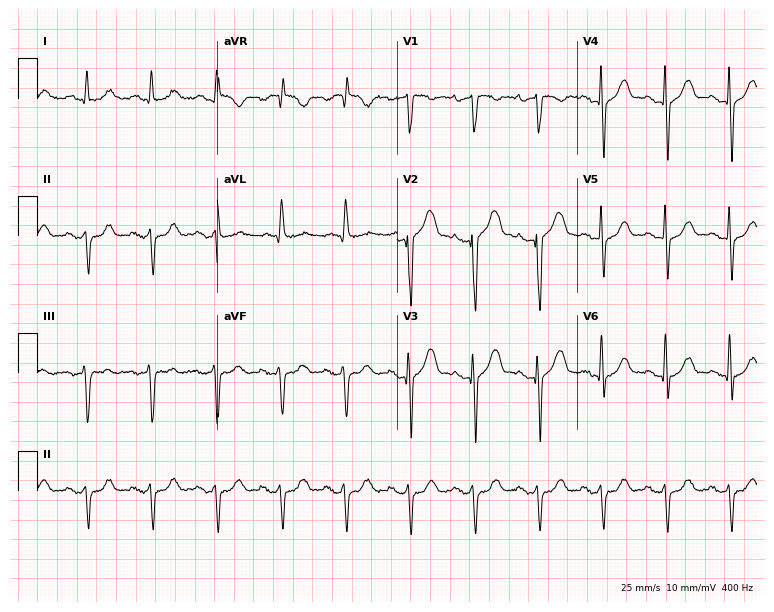
Electrocardiogram, a 62-year-old man. Of the six screened findings (first-degree AV block, right bundle branch block, left bundle branch block, sinus bradycardia, atrial fibrillation, sinus tachycardia), none is recorded. Findings outside these six are not listed.